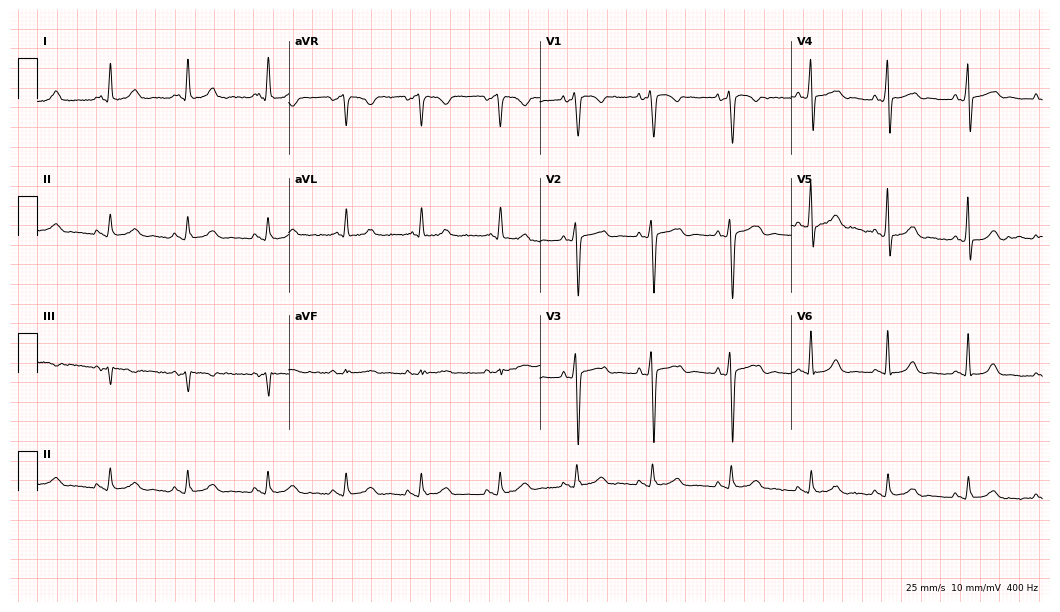
Electrocardiogram (10.2-second recording at 400 Hz), a man, 51 years old. Overall reading on record: normal ECG.